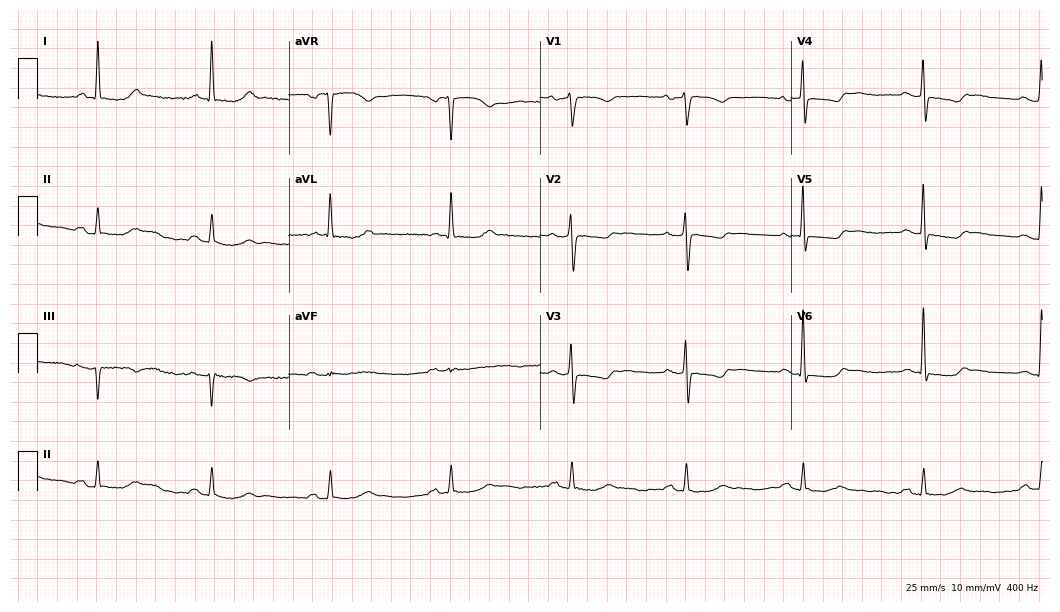
12-lead ECG from a female patient, 67 years old. Shows first-degree AV block.